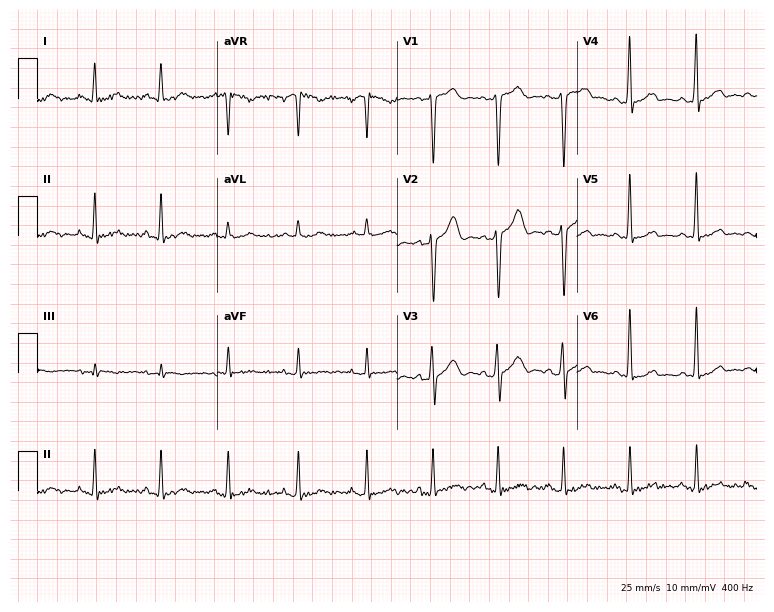
12-lead ECG from a man, 25 years old. No first-degree AV block, right bundle branch block (RBBB), left bundle branch block (LBBB), sinus bradycardia, atrial fibrillation (AF) or sinus tachycardia recorded for this tracing.